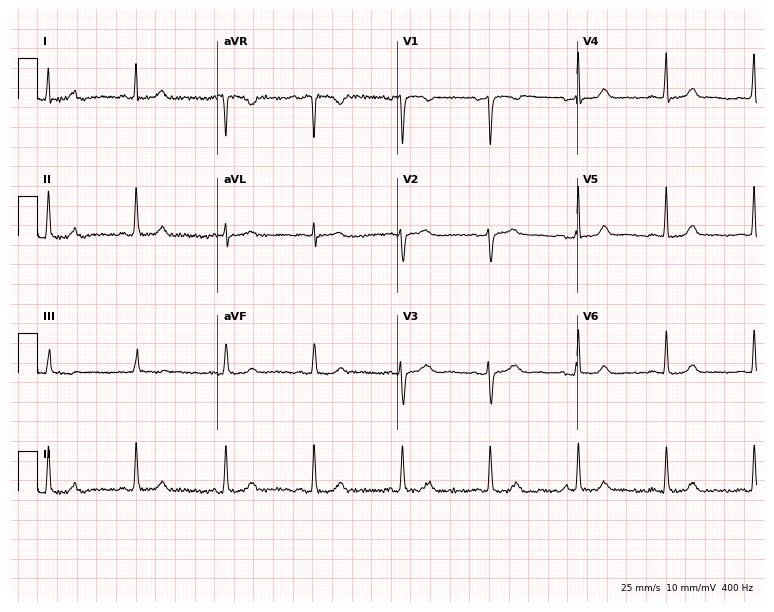
Standard 12-lead ECG recorded from a female patient, 30 years old (7.3-second recording at 400 Hz). Read as a normal ECG.